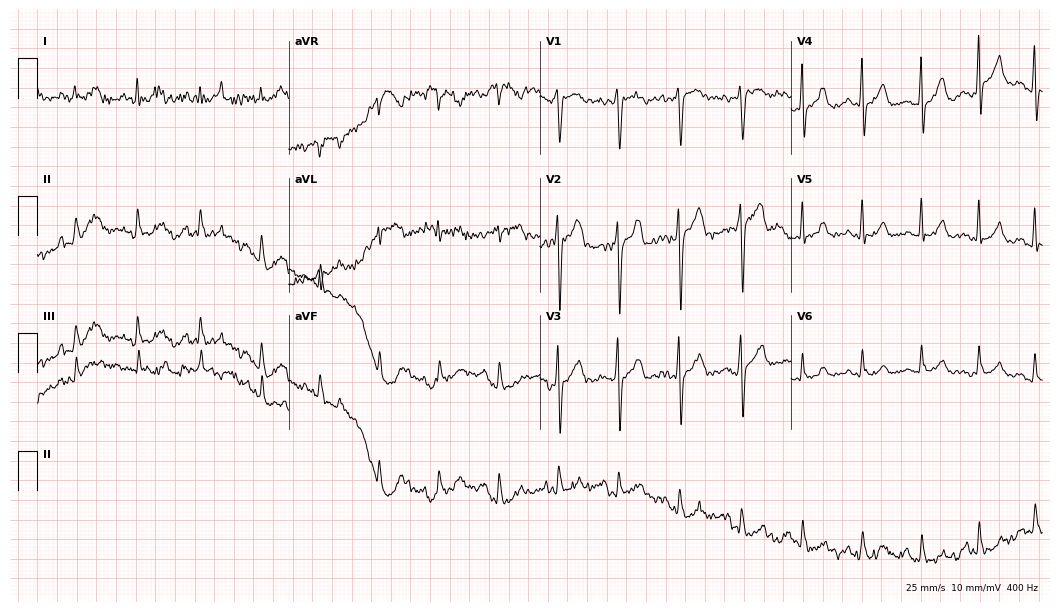
Standard 12-lead ECG recorded from a male, 35 years old. Read as a normal ECG.